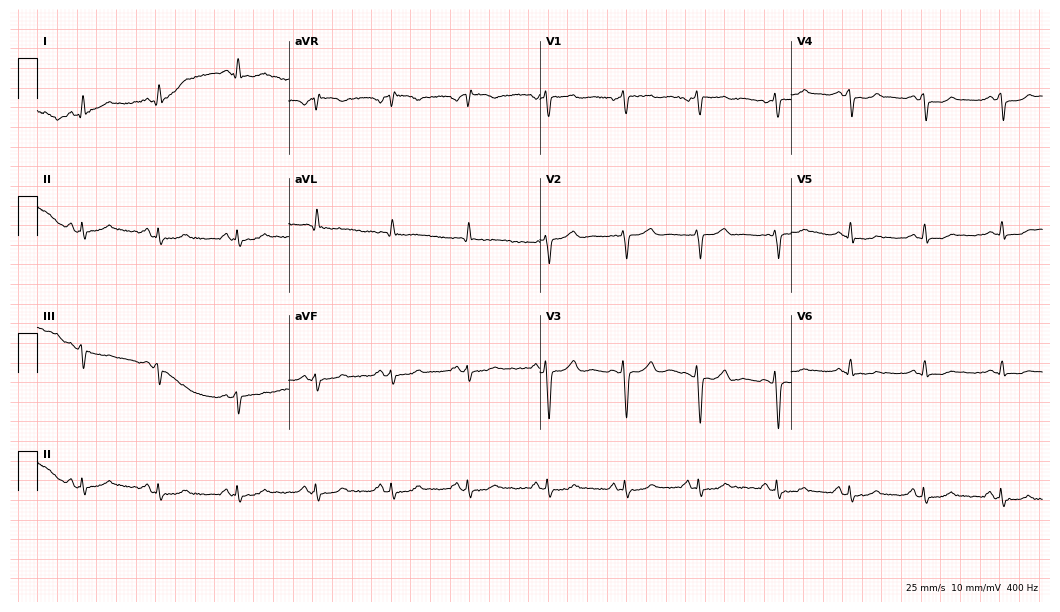
12-lead ECG from a female patient, 56 years old (10.2-second recording at 400 Hz). Recorded interpretation: within normal limits.